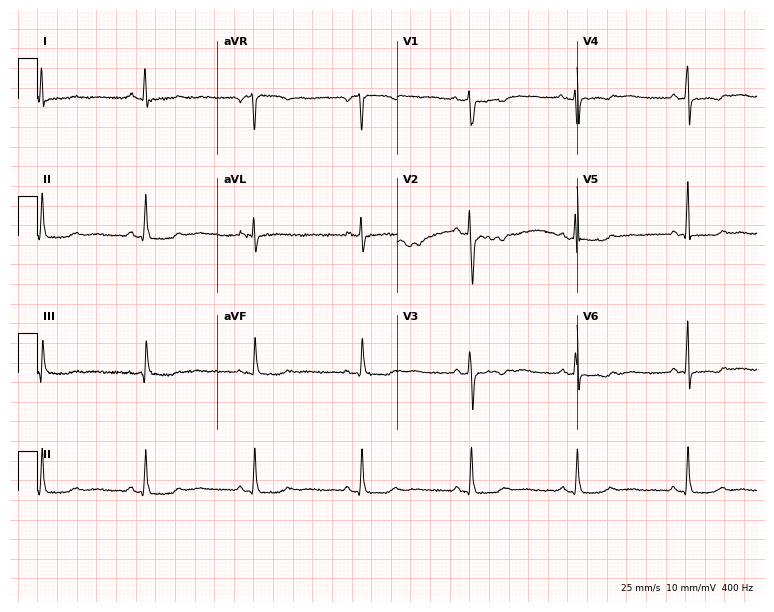
ECG — a 36-year-old female patient. Screened for six findings — first-degree AV block, right bundle branch block, left bundle branch block, sinus bradycardia, atrial fibrillation, sinus tachycardia — none is recorded. Only these six findings were labelled.